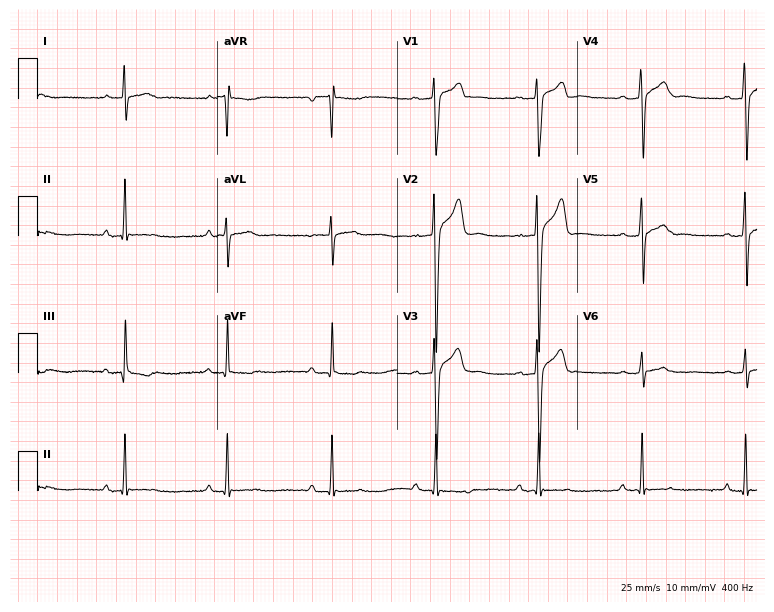
ECG — a man, 17 years old. Labelled as a normal ECG.